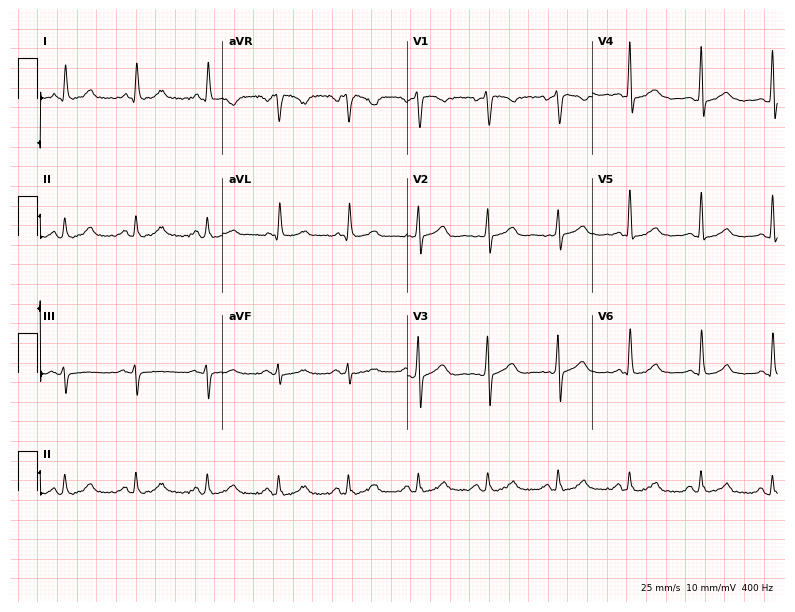
12-lead ECG (7.5-second recording at 400 Hz) from a 47-year-old female. Screened for six findings — first-degree AV block, right bundle branch block, left bundle branch block, sinus bradycardia, atrial fibrillation, sinus tachycardia — none is recorded.